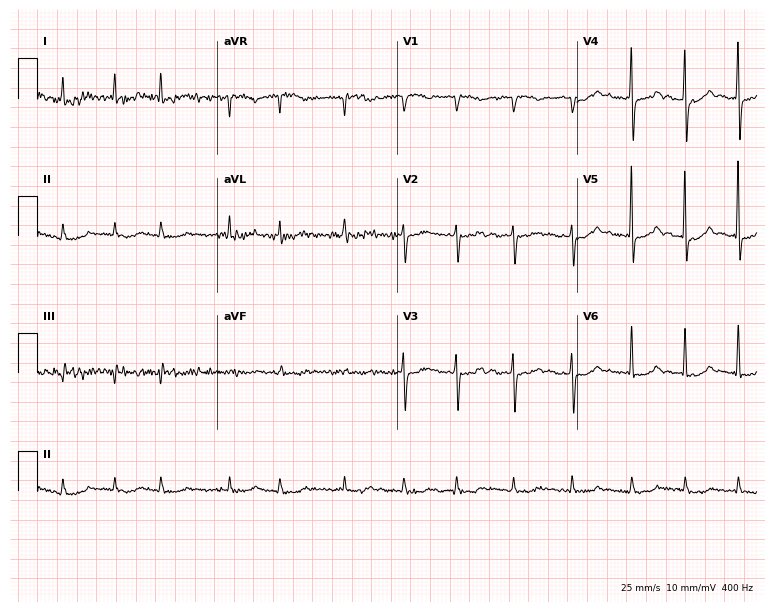
ECG — a woman, 69 years old. Findings include atrial fibrillation (AF).